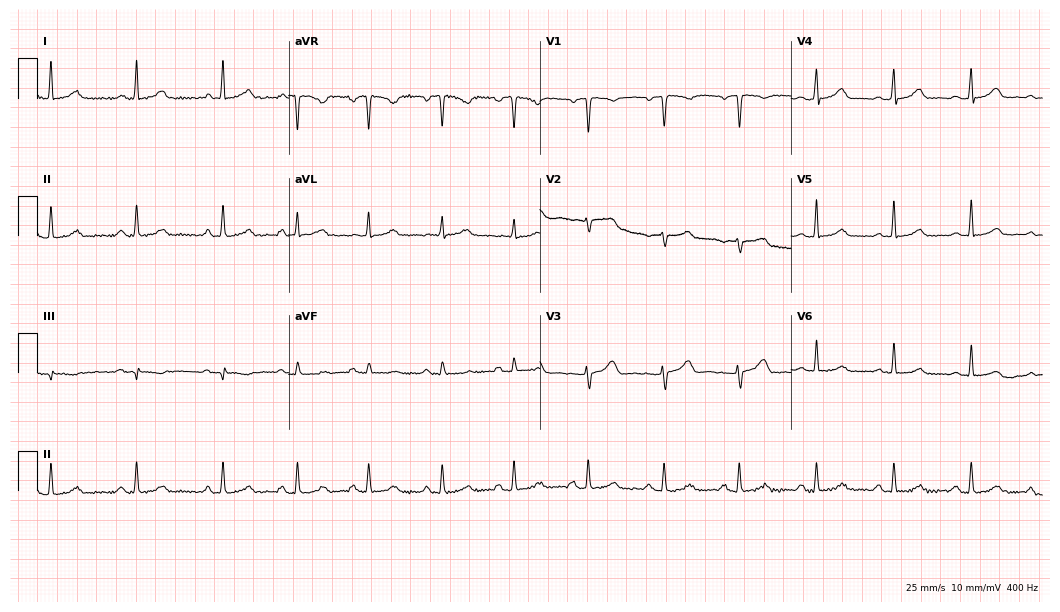
Standard 12-lead ECG recorded from a female, 37 years old (10.2-second recording at 400 Hz). Read as a normal ECG.